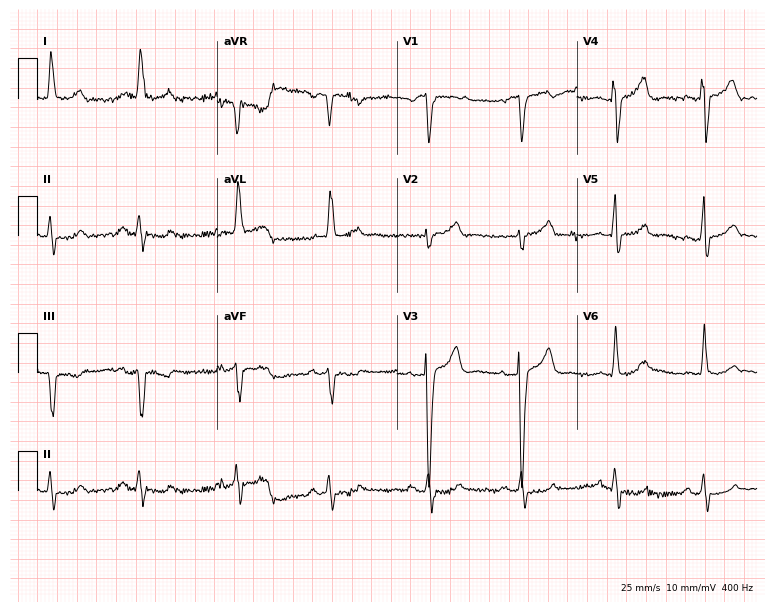
ECG — a 51-year-old female patient. Screened for six findings — first-degree AV block, right bundle branch block (RBBB), left bundle branch block (LBBB), sinus bradycardia, atrial fibrillation (AF), sinus tachycardia — none is recorded. Other findings, if any, are not listed.